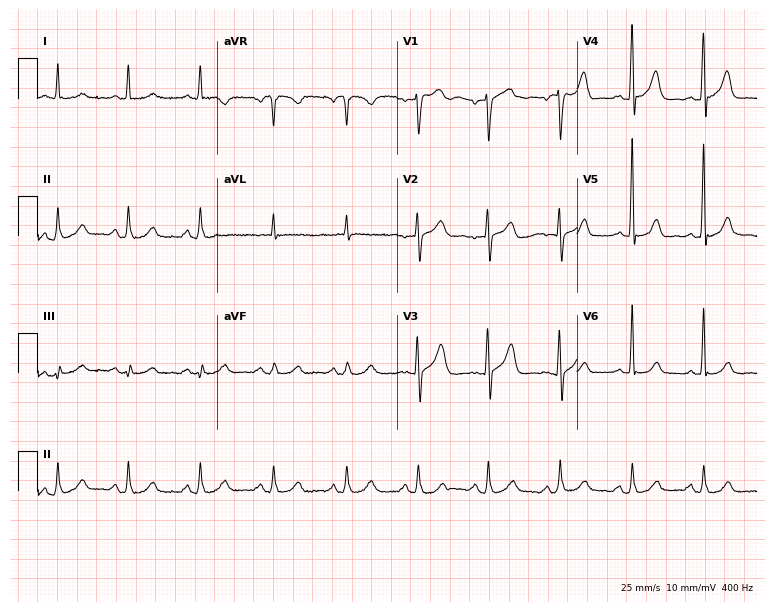
12-lead ECG from an 80-year-old man. Labelled as a normal ECG.